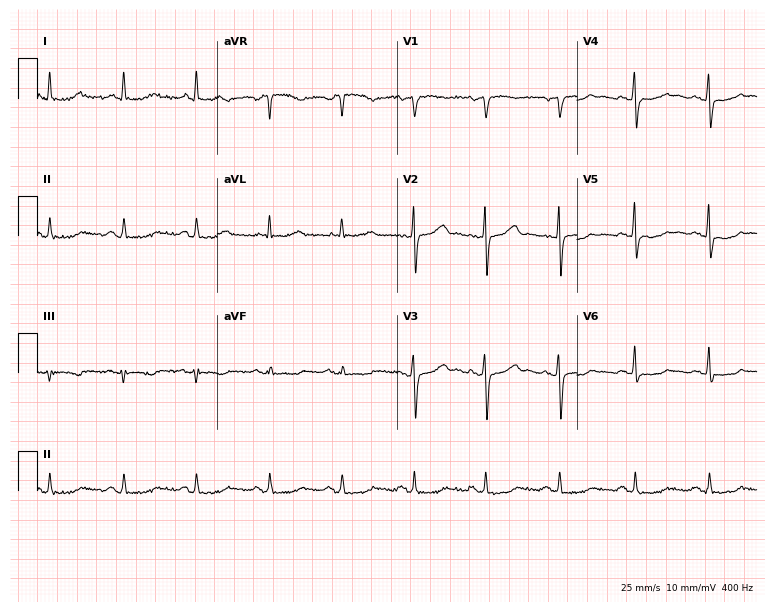
Resting 12-lead electrocardiogram (7.3-second recording at 400 Hz). Patient: a female, 63 years old. None of these six findings is recorded: first-degree AV block, right bundle branch block, left bundle branch block, sinus bradycardia, atrial fibrillation, sinus tachycardia. Other findings, if any, are not listed.